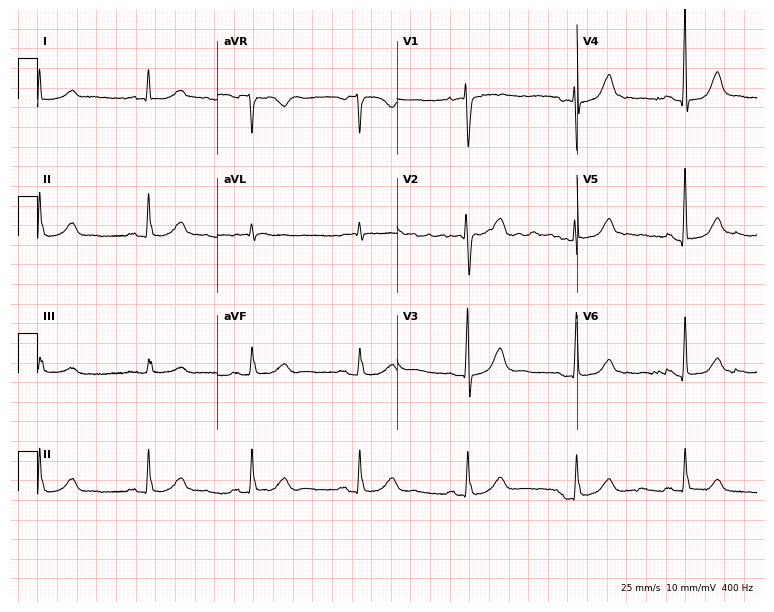
ECG (7.3-second recording at 400 Hz) — a male, 83 years old. Labelled as a normal ECG.